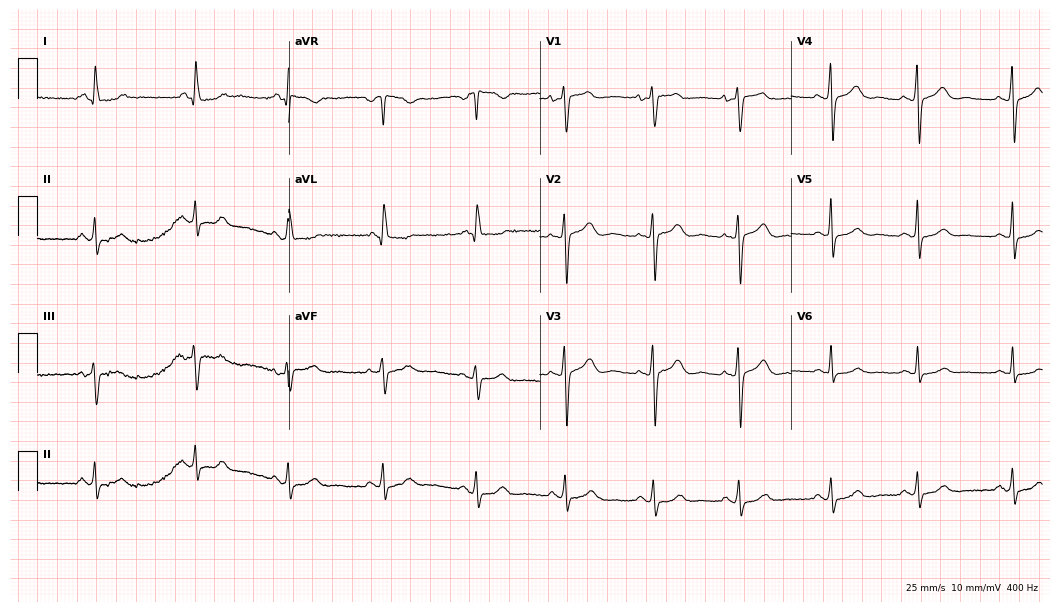
Resting 12-lead electrocardiogram (10.2-second recording at 400 Hz). Patient: a 32-year-old woman. Read as a normal ECG.